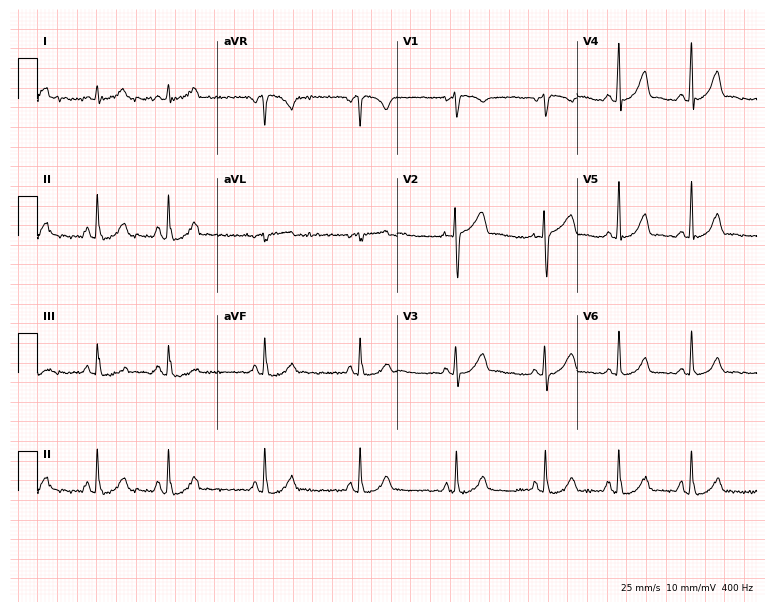
ECG — a woman, 17 years old. Labelled as a normal ECG.